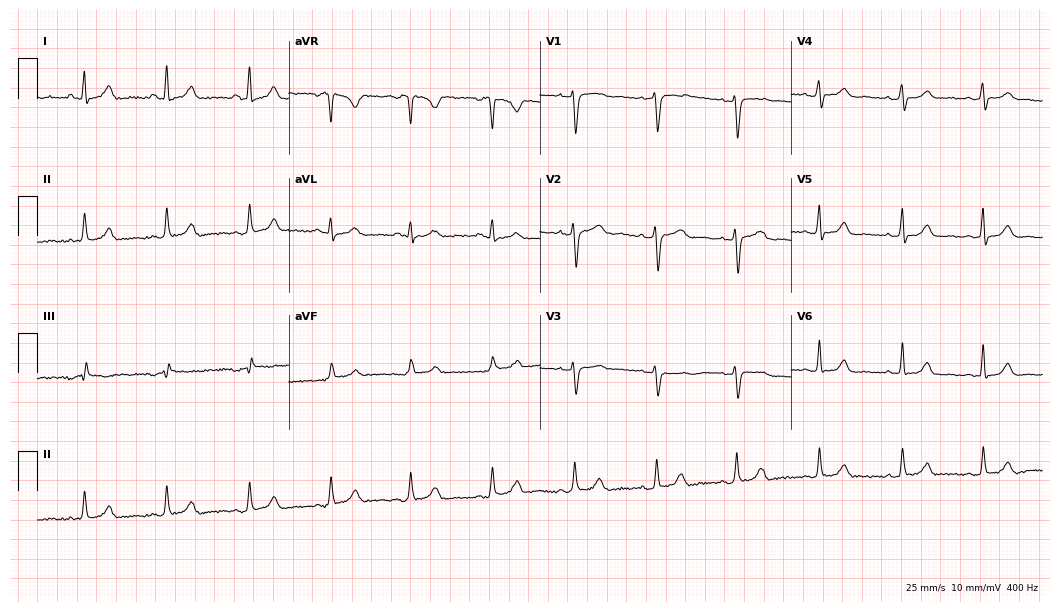
Resting 12-lead electrocardiogram. Patient: a woman, 26 years old. Read as a normal ECG.